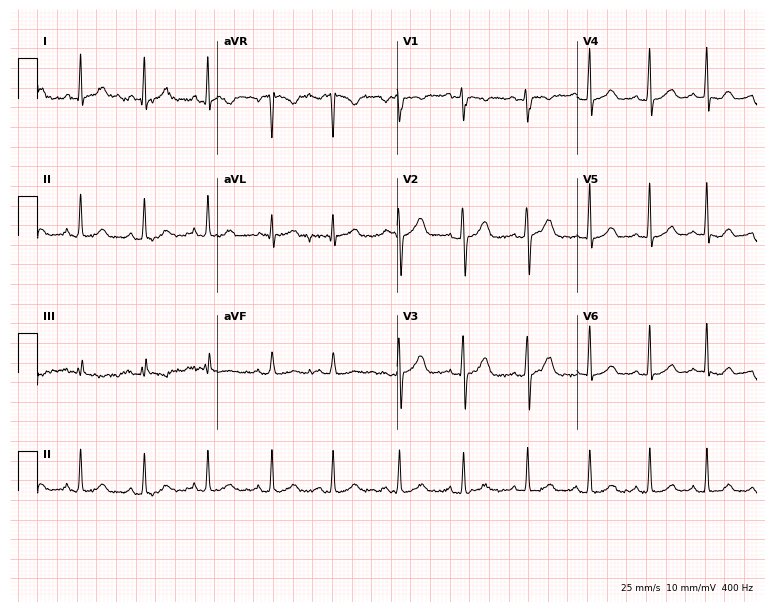
12-lead ECG (7.3-second recording at 400 Hz) from a 28-year-old woman. Screened for six findings — first-degree AV block, right bundle branch block, left bundle branch block, sinus bradycardia, atrial fibrillation, sinus tachycardia — none is recorded. Other findings, if any, are not listed.